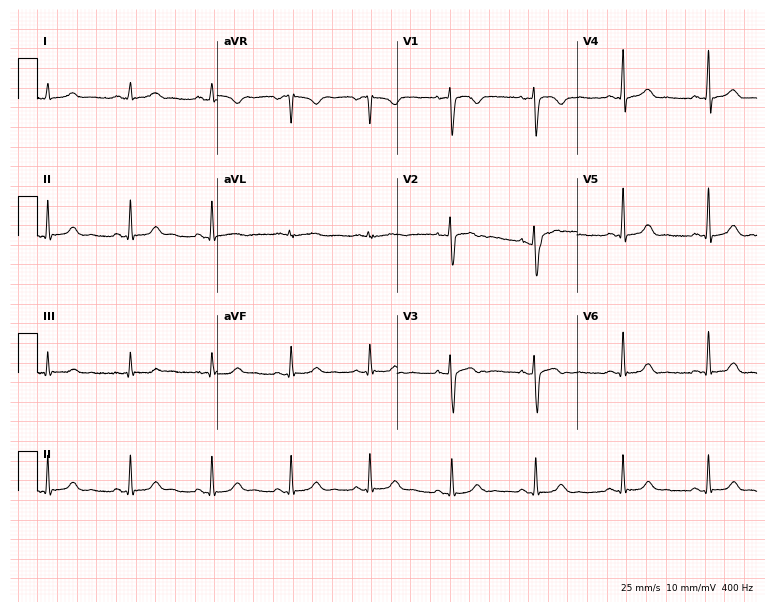
12-lead ECG from a female, 29 years old (7.3-second recording at 400 Hz). Recorded interpretation: within normal limits.